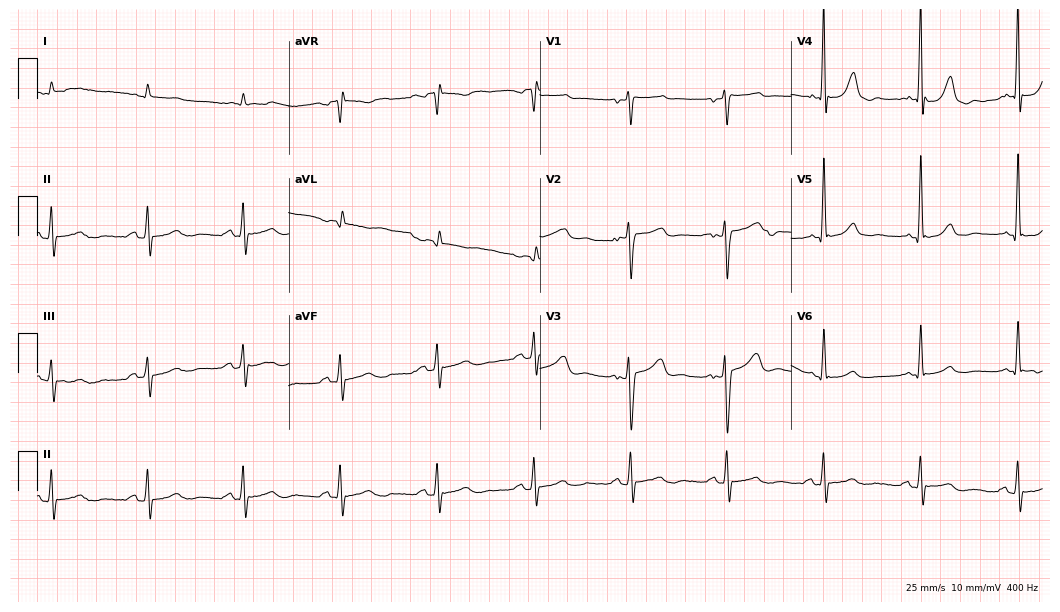
Electrocardiogram, a male, 80 years old. Overall reading on record: normal ECG.